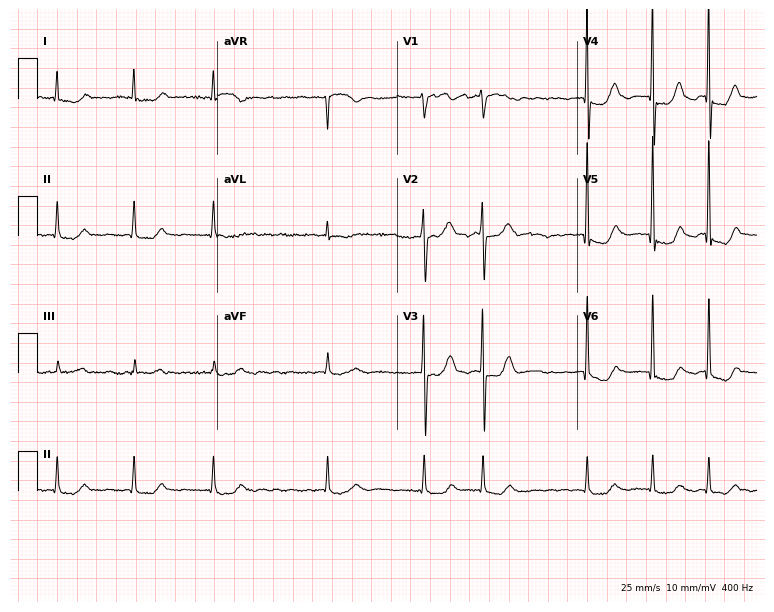
ECG — a male patient, 85 years old. Findings include atrial fibrillation (AF).